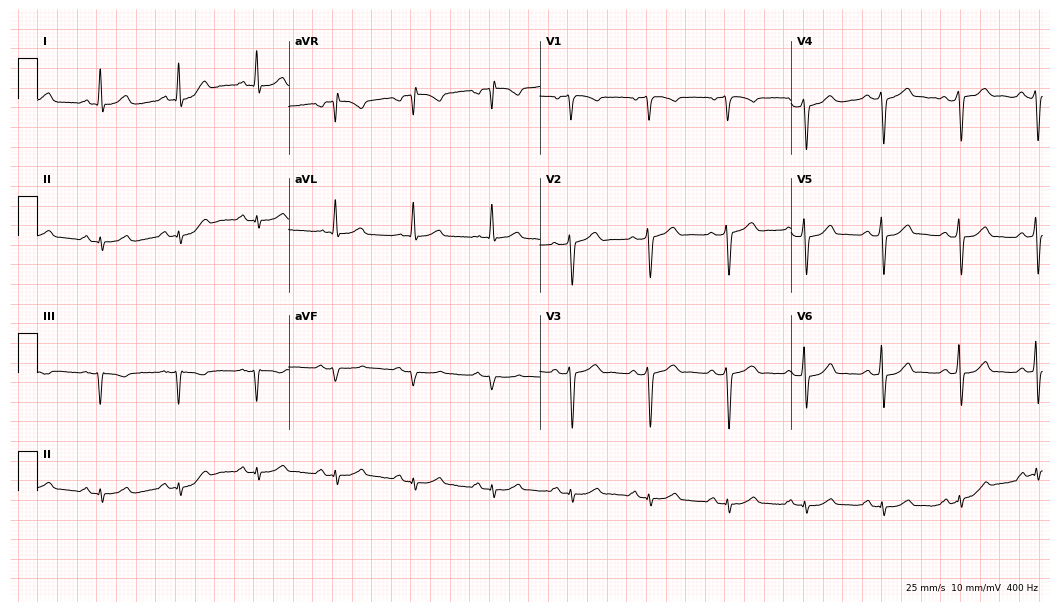
Standard 12-lead ECG recorded from a man, 64 years old (10.2-second recording at 400 Hz). None of these six findings is recorded: first-degree AV block, right bundle branch block, left bundle branch block, sinus bradycardia, atrial fibrillation, sinus tachycardia.